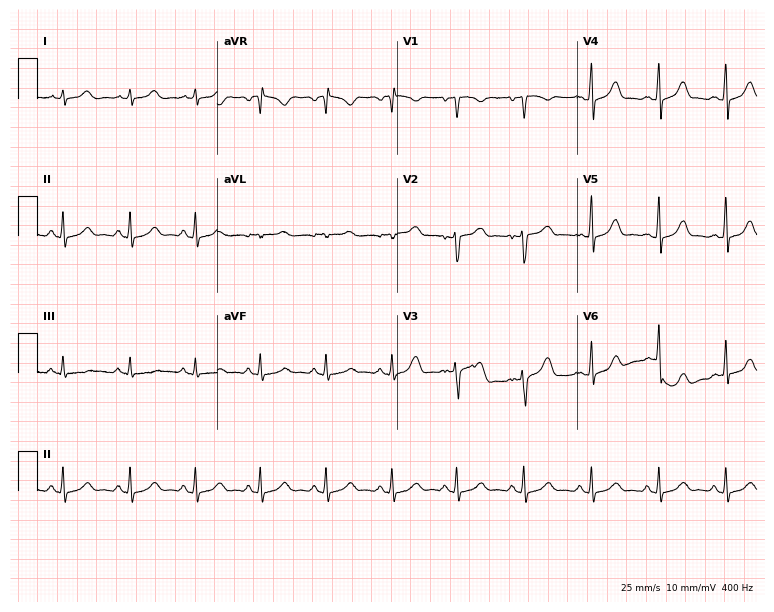
Standard 12-lead ECG recorded from a female patient, 33 years old. Read as a normal ECG.